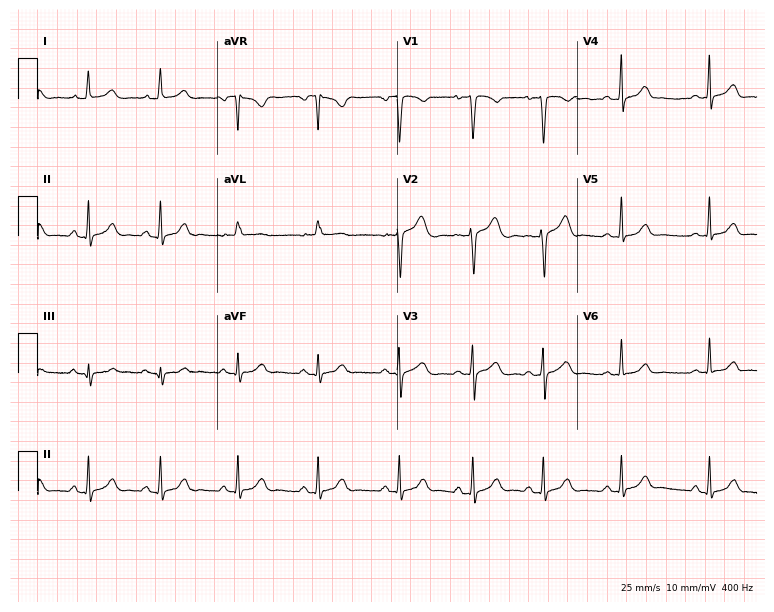
ECG (7.3-second recording at 400 Hz) — a female, 28 years old. Labelled as a normal ECG.